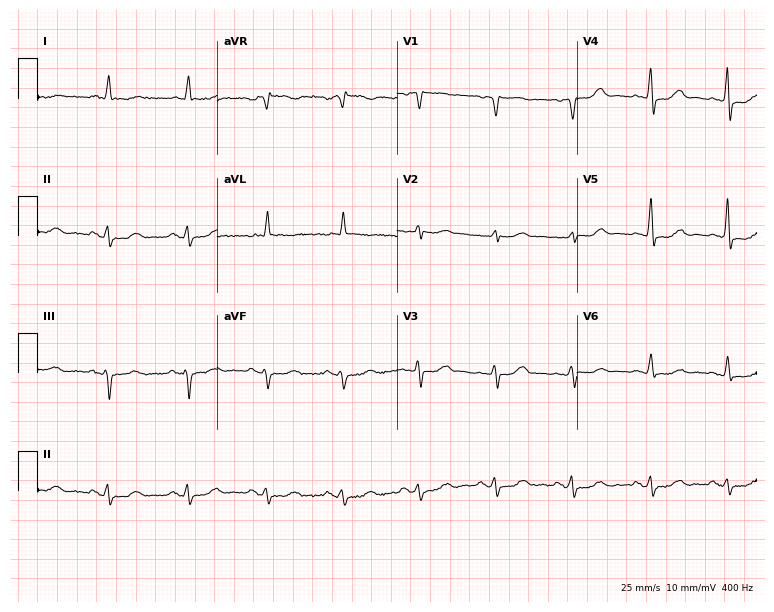
Standard 12-lead ECG recorded from a 66-year-old female patient (7.3-second recording at 400 Hz). None of these six findings is recorded: first-degree AV block, right bundle branch block (RBBB), left bundle branch block (LBBB), sinus bradycardia, atrial fibrillation (AF), sinus tachycardia.